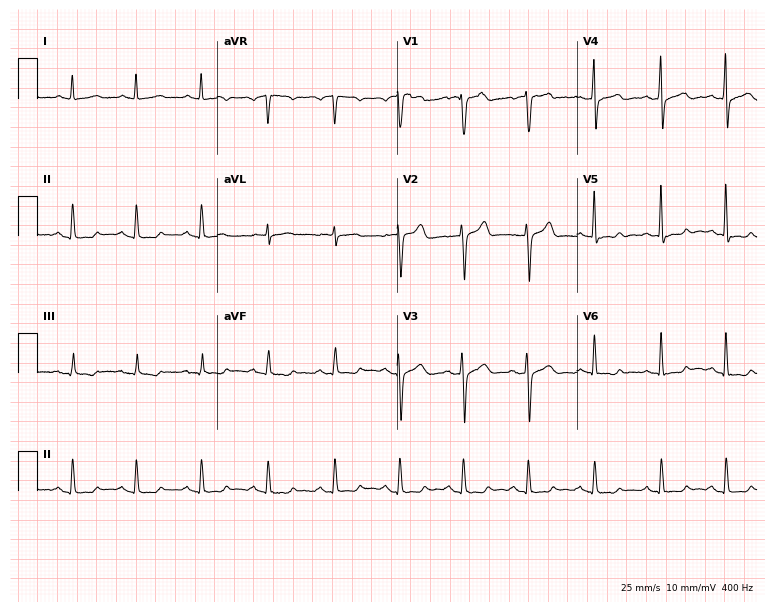
12-lead ECG from a man, 62 years old. Screened for six findings — first-degree AV block, right bundle branch block (RBBB), left bundle branch block (LBBB), sinus bradycardia, atrial fibrillation (AF), sinus tachycardia — none is recorded. Only these six findings were labelled.